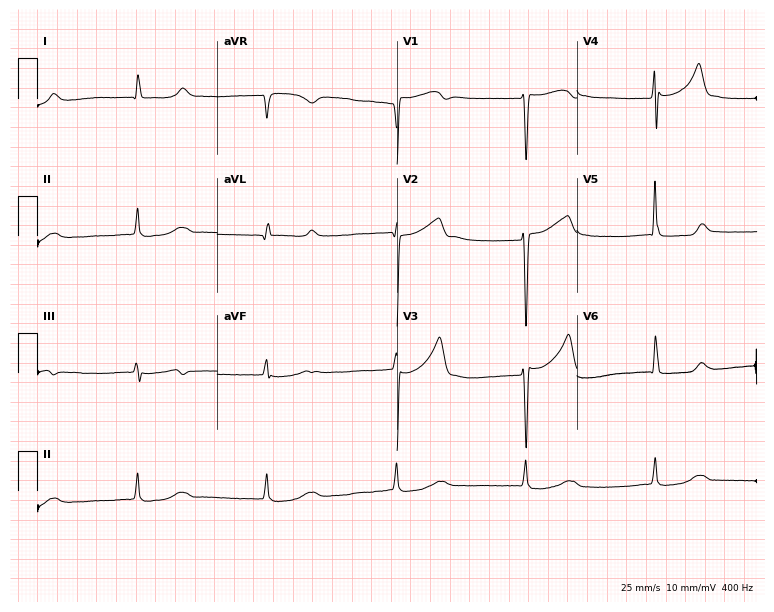
Standard 12-lead ECG recorded from a female, 77 years old (7.3-second recording at 400 Hz). None of these six findings is recorded: first-degree AV block, right bundle branch block, left bundle branch block, sinus bradycardia, atrial fibrillation, sinus tachycardia.